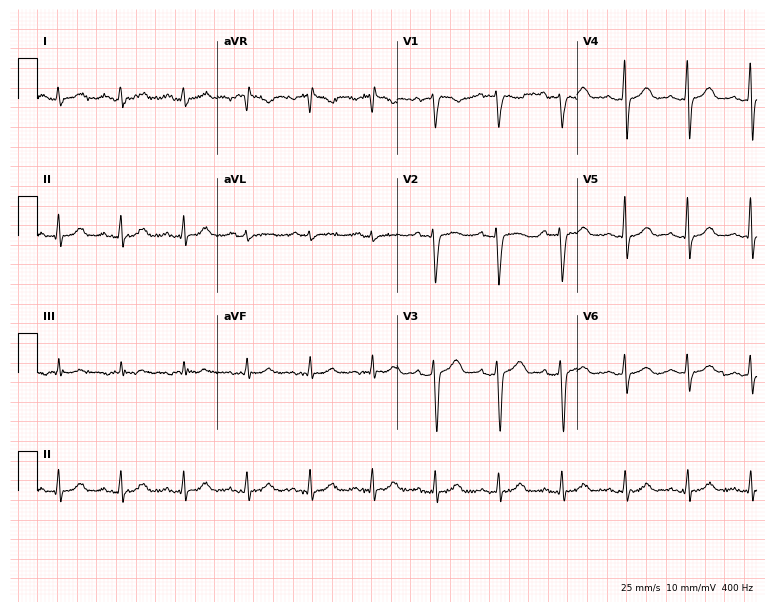
12-lead ECG (7.3-second recording at 400 Hz) from a 39-year-old female patient. Labelled as a normal ECG.